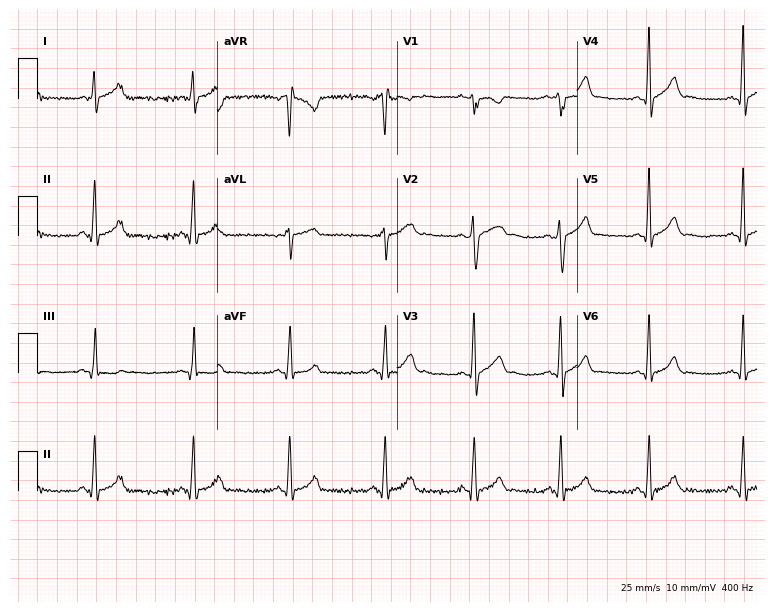
12-lead ECG from a male, 17 years old. No first-degree AV block, right bundle branch block, left bundle branch block, sinus bradycardia, atrial fibrillation or sinus tachycardia recorded for this tracing. Other findings, if any, are not listed.